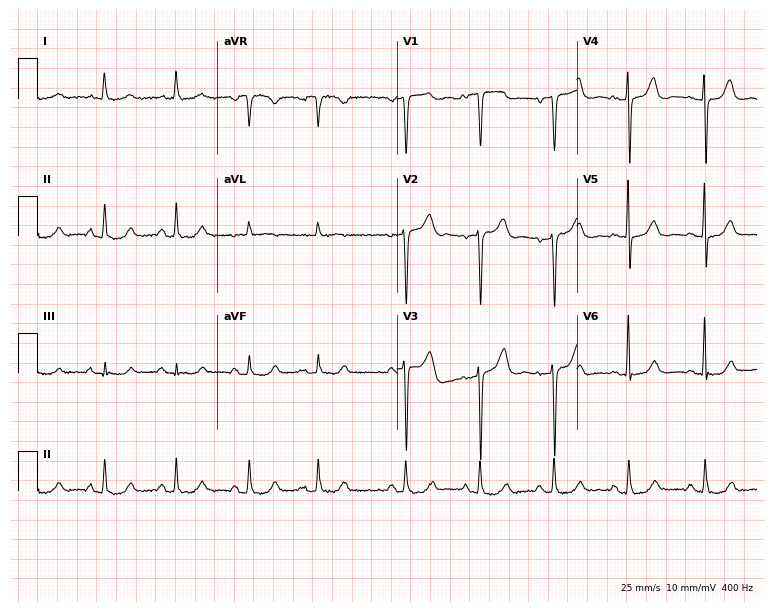
Electrocardiogram, a woman, 78 years old. Of the six screened findings (first-degree AV block, right bundle branch block, left bundle branch block, sinus bradycardia, atrial fibrillation, sinus tachycardia), none is recorded. Only these six findings were labelled.